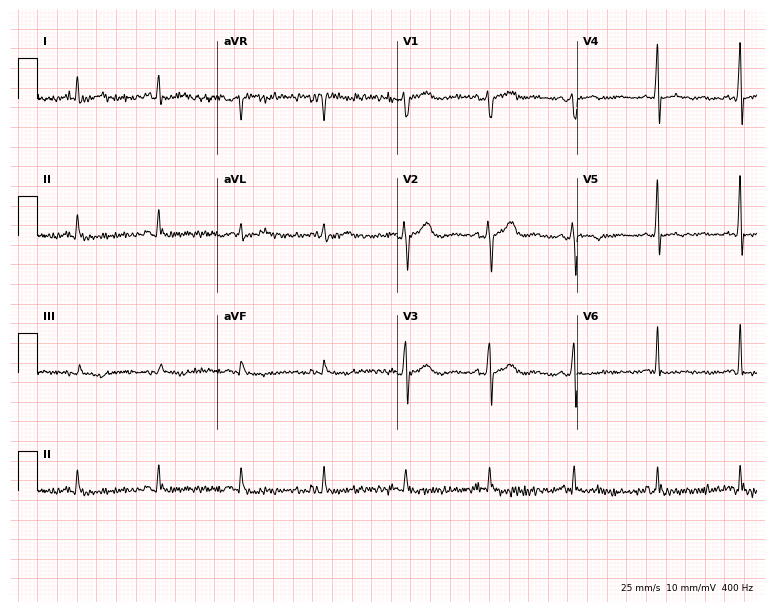
ECG (7.3-second recording at 400 Hz) — a man, 48 years old. Screened for six findings — first-degree AV block, right bundle branch block, left bundle branch block, sinus bradycardia, atrial fibrillation, sinus tachycardia — none is recorded.